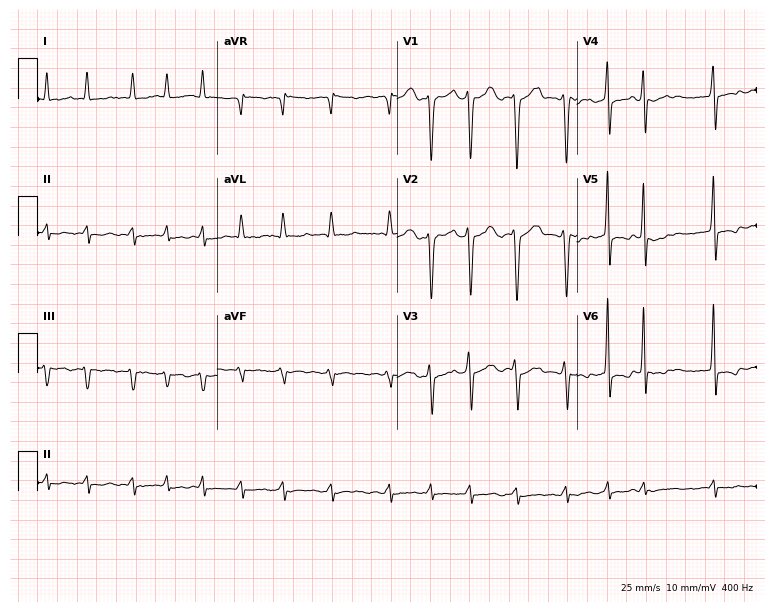
Electrocardiogram, a 70-year-old male. Interpretation includes atrial fibrillation.